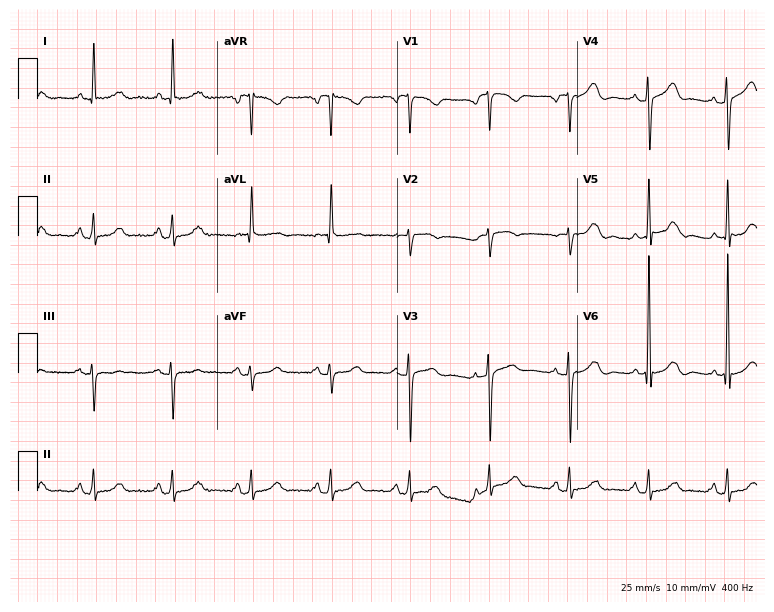
ECG (7.3-second recording at 400 Hz) — a female, 82 years old. Labelled as a normal ECG.